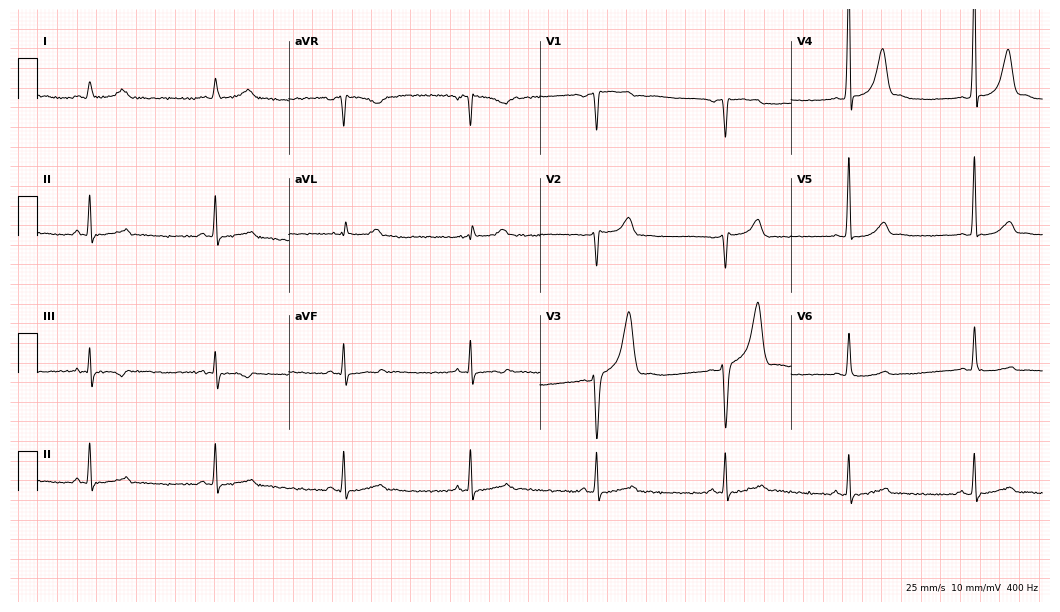
Standard 12-lead ECG recorded from a 53-year-old male. None of these six findings is recorded: first-degree AV block, right bundle branch block (RBBB), left bundle branch block (LBBB), sinus bradycardia, atrial fibrillation (AF), sinus tachycardia.